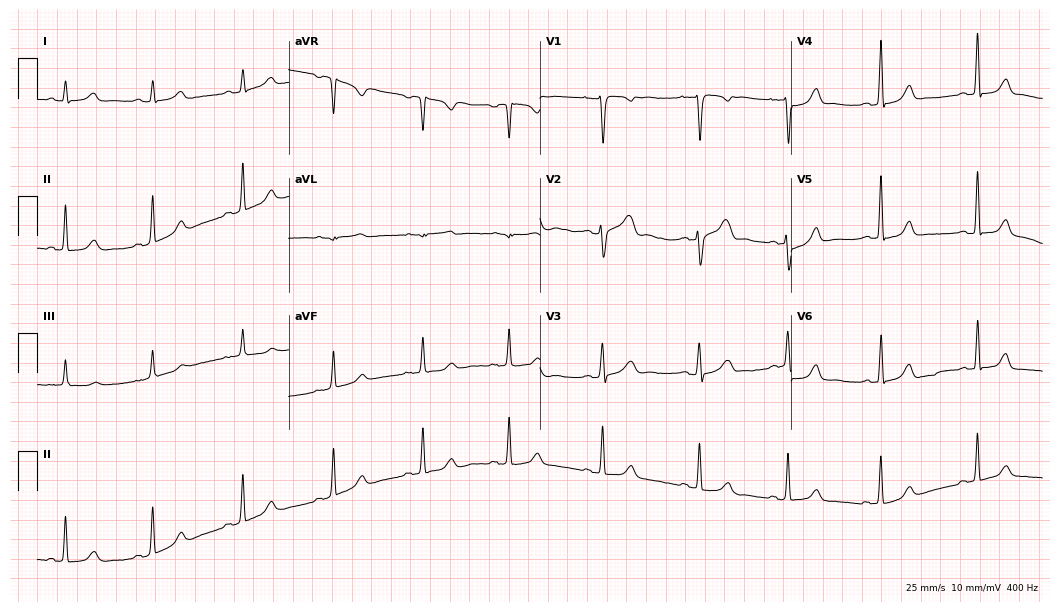
Resting 12-lead electrocardiogram (10.2-second recording at 400 Hz). Patient: a woman, 26 years old. Read as a normal ECG.